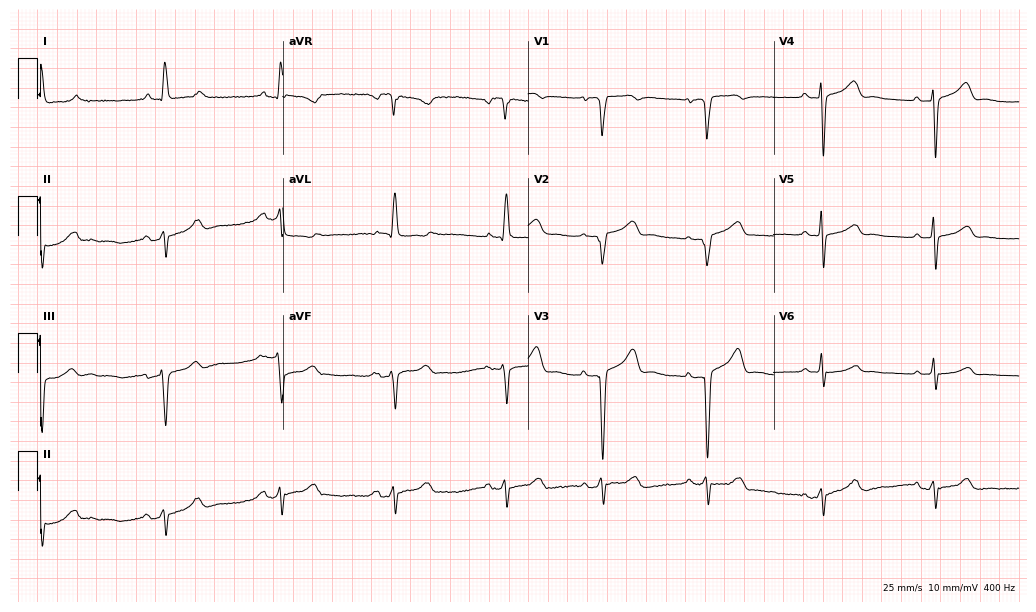
12-lead ECG from a woman, 73 years old (10-second recording at 400 Hz). No first-degree AV block, right bundle branch block, left bundle branch block, sinus bradycardia, atrial fibrillation or sinus tachycardia recorded for this tracing.